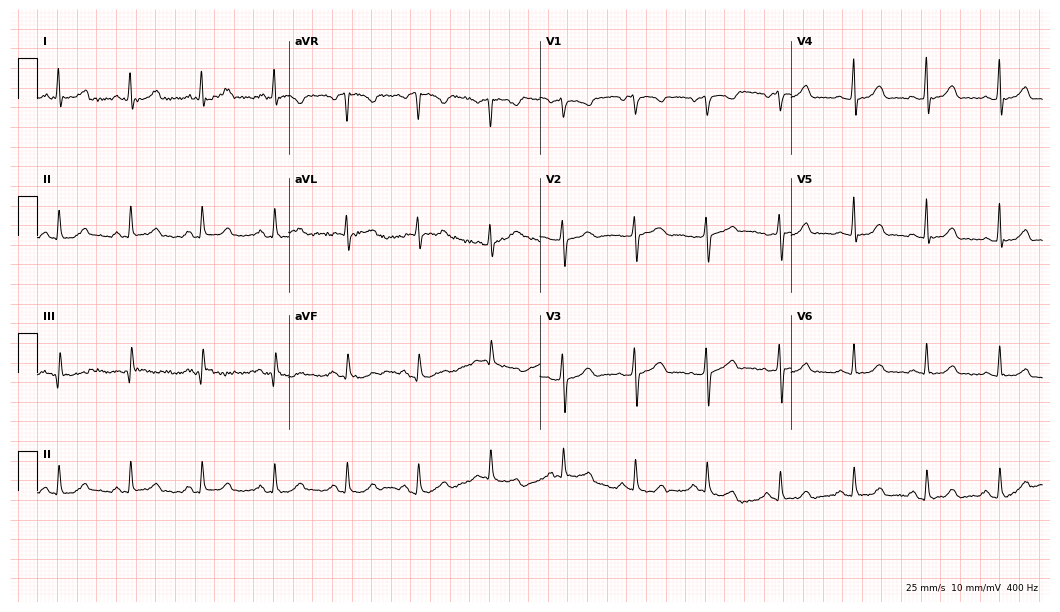
Resting 12-lead electrocardiogram (10.2-second recording at 400 Hz). Patient: a woman, 48 years old. Read as a normal ECG.